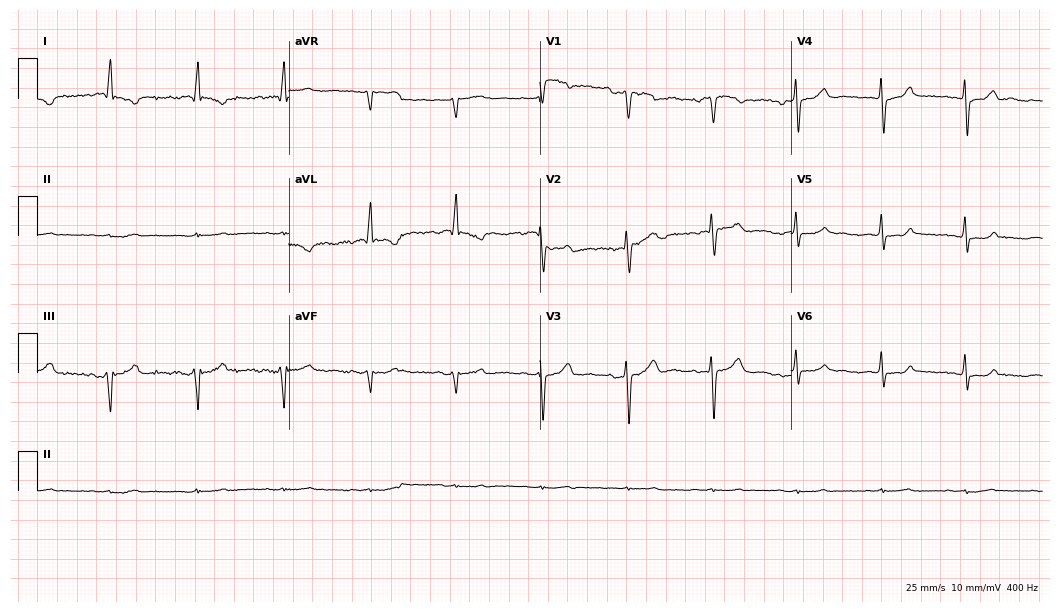
Standard 12-lead ECG recorded from a 69-year-old male. None of these six findings is recorded: first-degree AV block, right bundle branch block, left bundle branch block, sinus bradycardia, atrial fibrillation, sinus tachycardia.